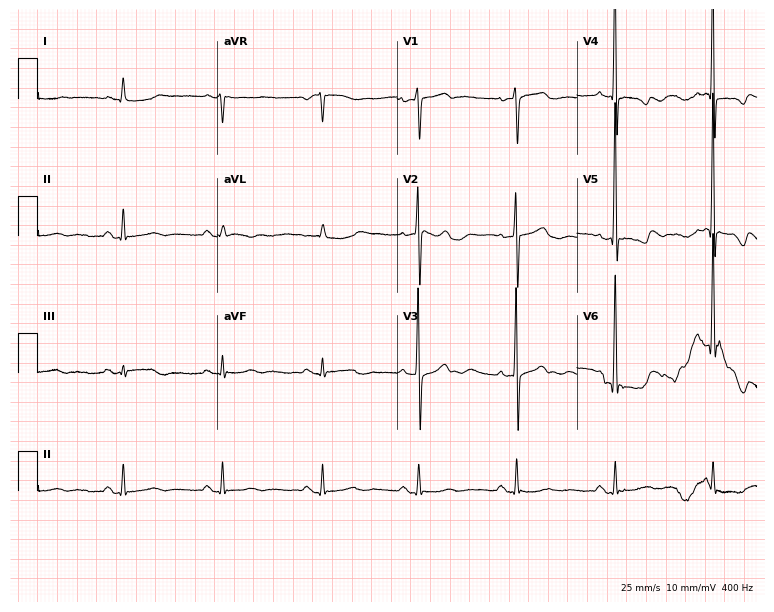
ECG (7.3-second recording at 400 Hz) — a 26-year-old man. Screened for six findings — first-degree AV block, right bundle branch block, left bundle branch block, sinus bradycardia, atrial fibrillation, sinus tachycardia — none is recorded.